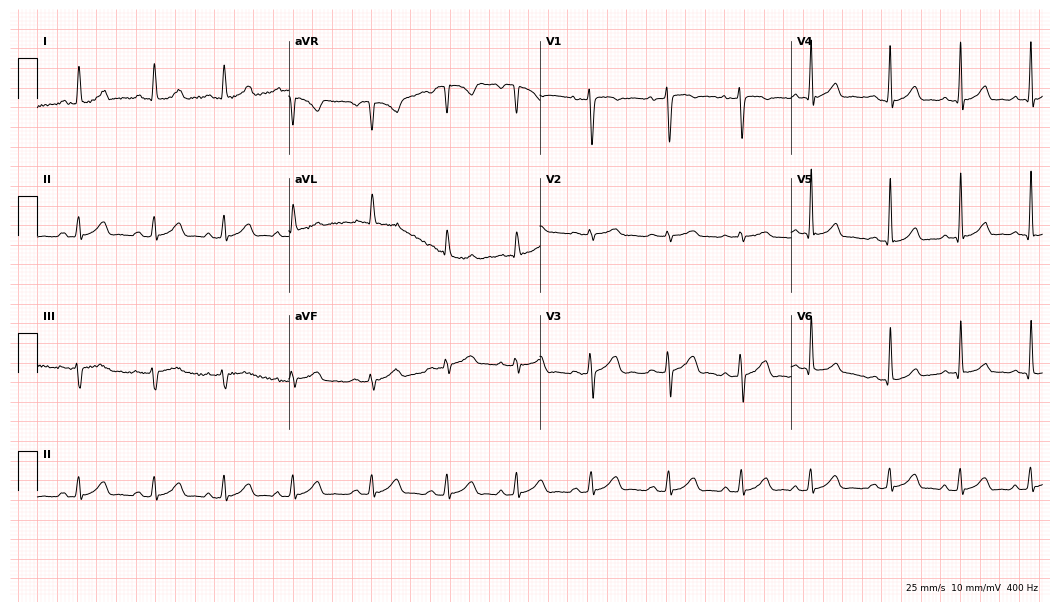
Standard 12-lead ECG recorded from a female patient, 26 years old (10.2-second recording at 400 Hz). Read as a normal ECG.